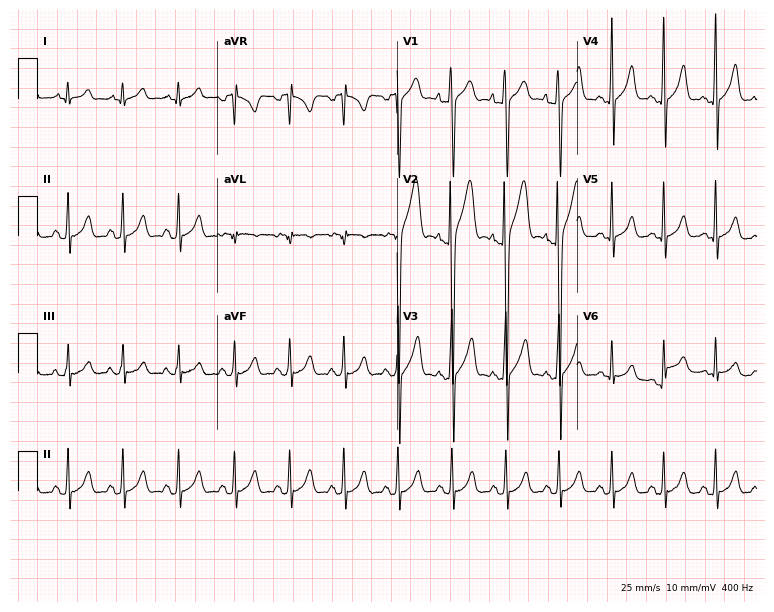
Standard 12-lead ECG recorded from a 17-year-old male (7.3-second recording at 400 Hz). The tracing shows sinus tachycardia (a sinus rate of 100 beats per minute or more).